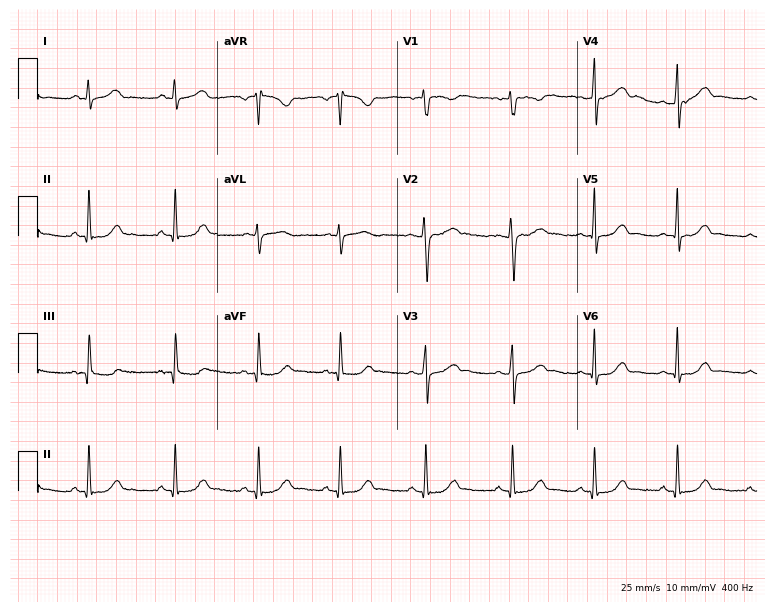
Standard 12-lead ECG recorded from a 35-year-old woman (7.3-second recording at 400 Hz). None of these six findings is recorded: first-degree AV block, right bundle branch block (RBBB), left bundle branch block (LBBB), sinus bradycardia, atrial fibrillation (AF), sinus tachycardia. Findings outside these six are not listed.